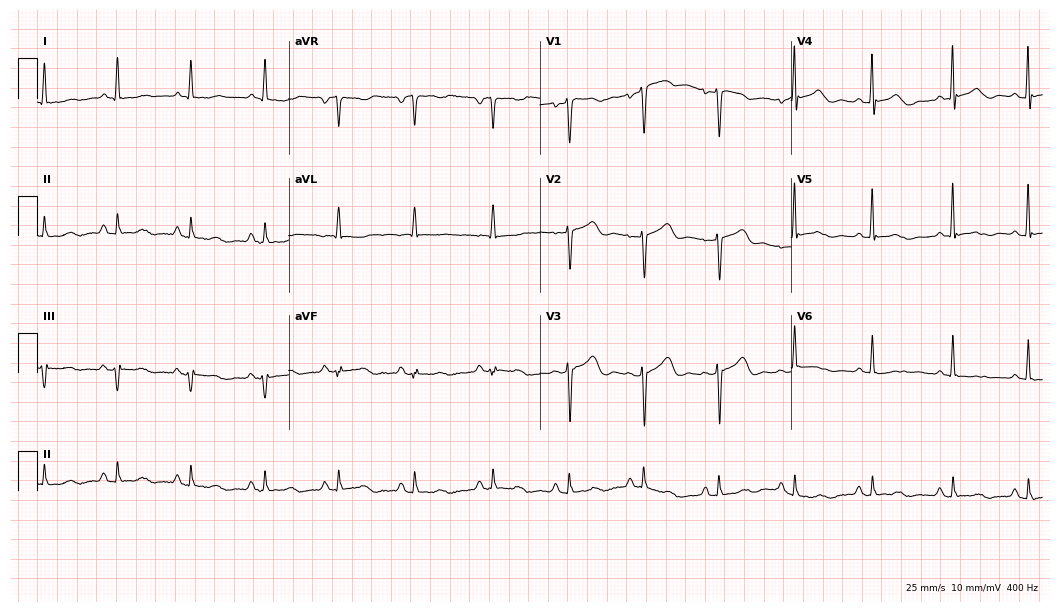
12-lead ECG from a 69-year-old female patient. Labelled as a normal ECG.